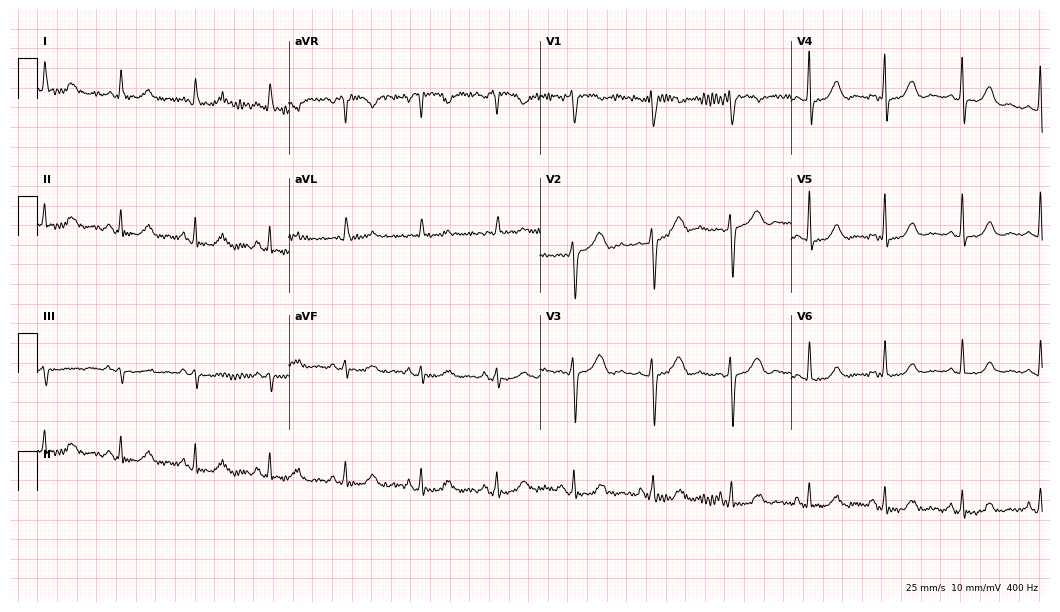
12-lead ECG from a female patient, 60 years old. No first-degree AV block, right bundle branch block, left bundle branch block, sinus bradycardia, atrial fibrillation or sinus tachycardia recorded for this tracing.